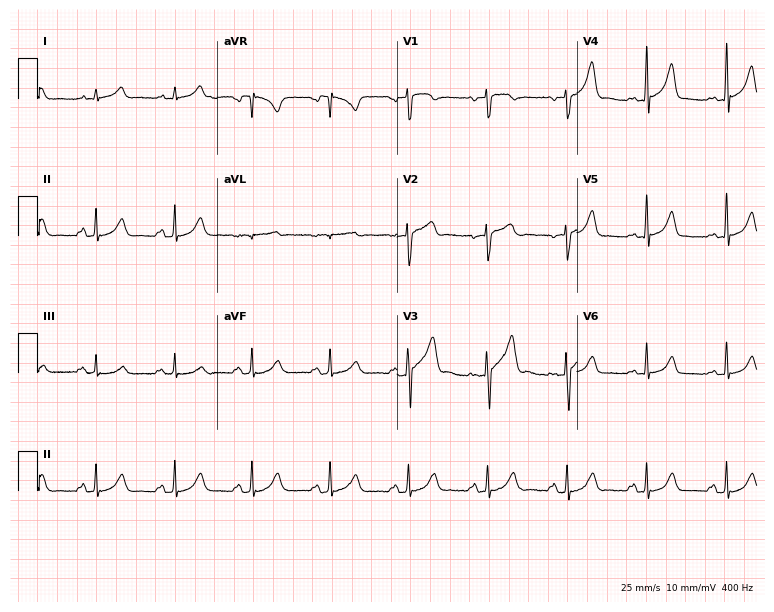
Electrocardiogram, a male, 28 years old. Overall reading on record: normal ECG.